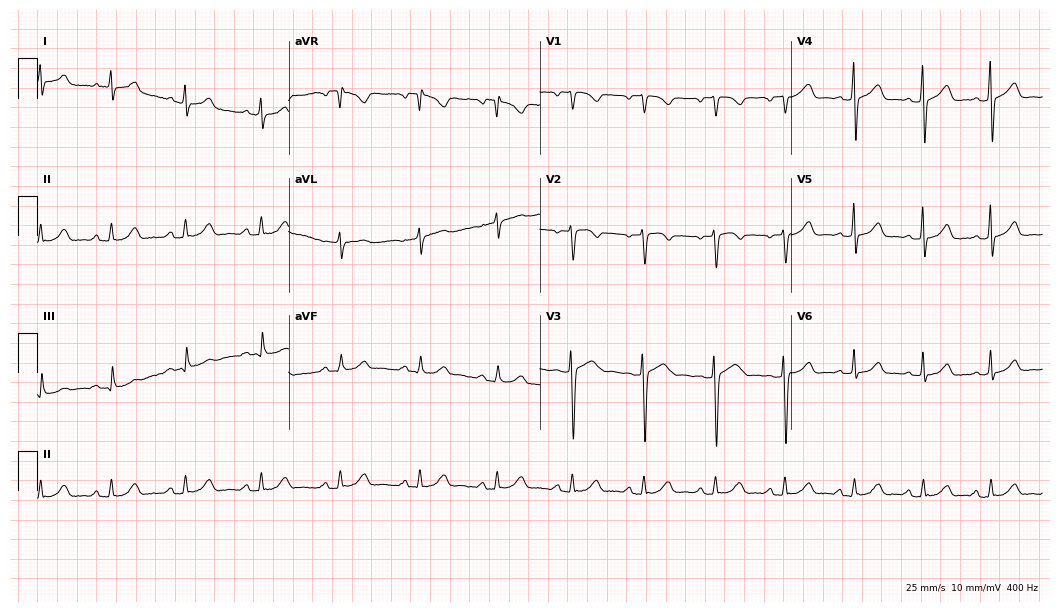
12-lead ECG from a female, 46 years old. Recorded interpretation: within normal limits.